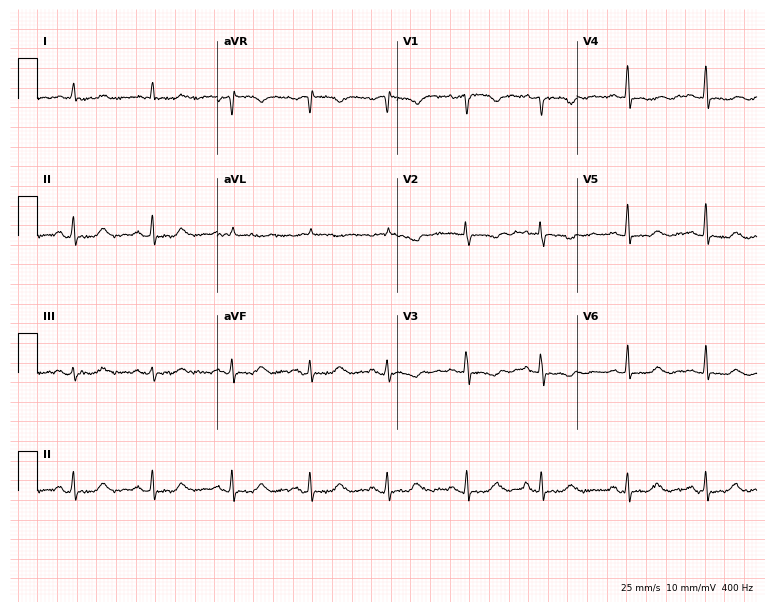
Standard 12-lead ECG recorded from a female patient, 64 years old (7.3-second recording at 400 Hz). None of these six findings is recorded: first-degree AV block, right bundle branch block, left bundle branch block, sinus bradycardia, atrial fibrillation, sinus tachycardia. Findings outside these six are not listed.